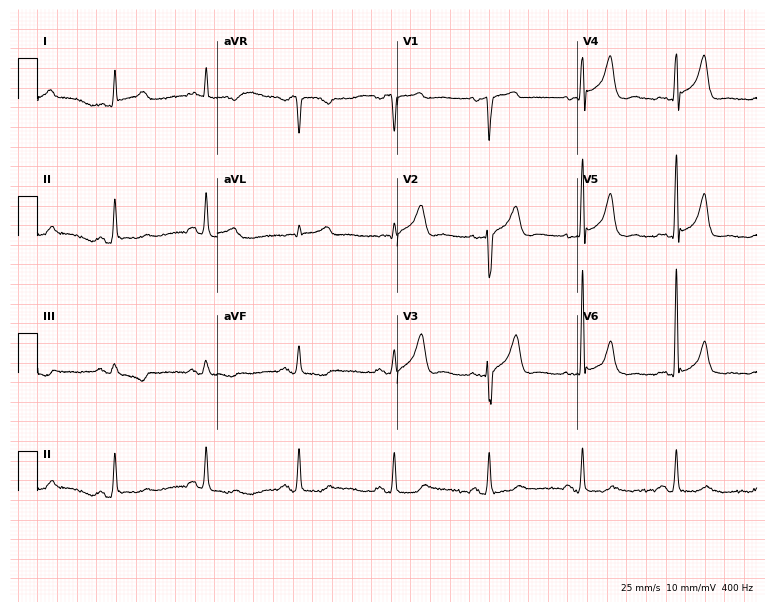
Electrocardiogram (7.3-second recording at 400 Hz), a man, 68 years old. Of the six screened findings (first-degree AV block, right bundle branch block (RBBB), left bundle branch block (LBBB), sinus bradycardia, atrial fibrillation (AF), sinus tachycardia), none is recorded. Only these six findings were labelled.